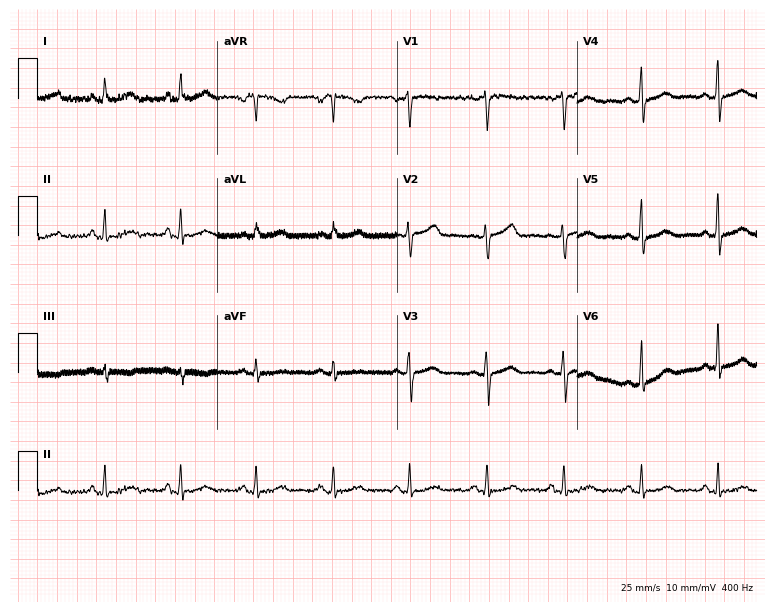
ECG — a female patient, 43 years old. Screened for six findings — first-degree AV block, right bundle branch block, left bundle branch block, sinus bradycardia, atrial fibrillation, sinus tachycardia — none is recorded. Only these six findings were labelled.